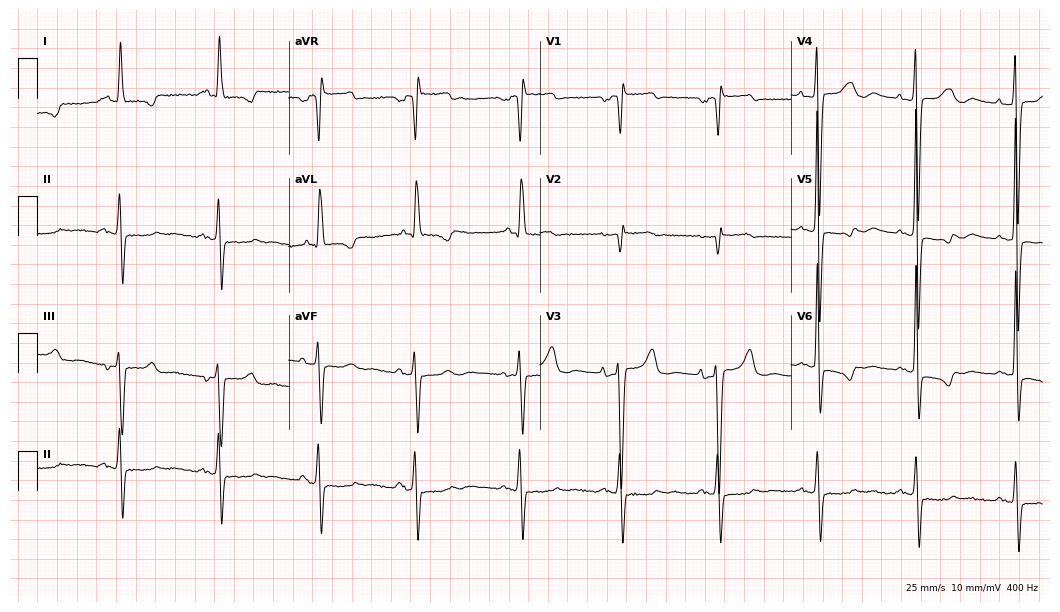
12-lead ECG (10.2-second recording at 400 Hz) from a female, 69 years old. Screened for six findings — first-degree AV block, right bundle branch block (RBBB), left bundle branch block (LBBB), sinus bradycardia, atrial fibrillation (AF), sinus tachycardia — none is recorded.